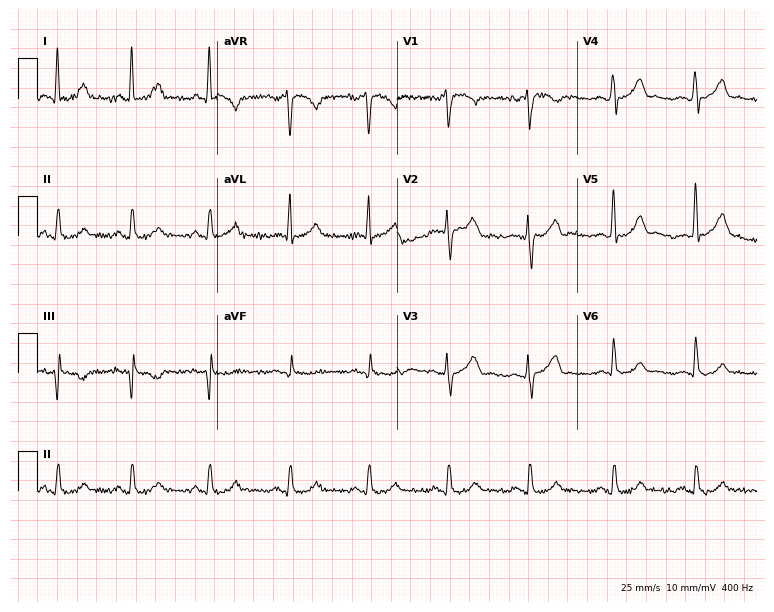
12-lead ECG from a 67-year-old male patient. Labelled as a normal ECG.